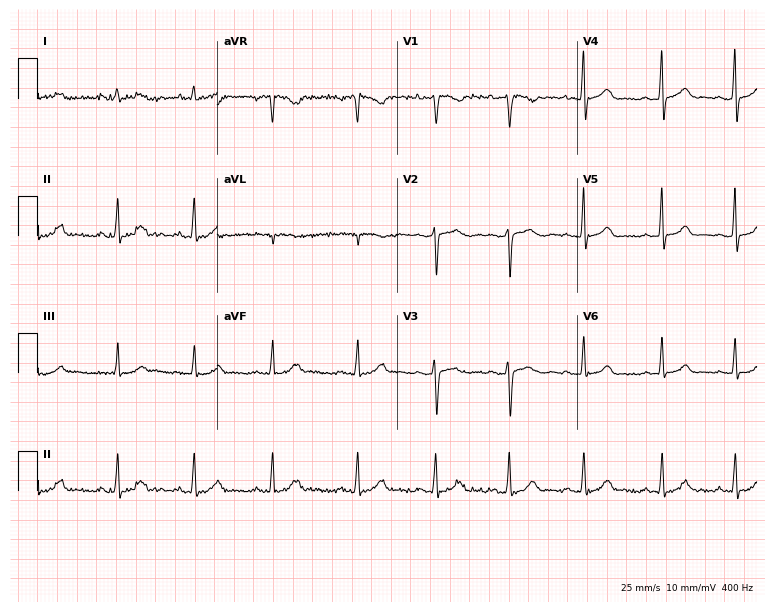
ECG — a woman, 25 years old. Labelled as a normal ECG.